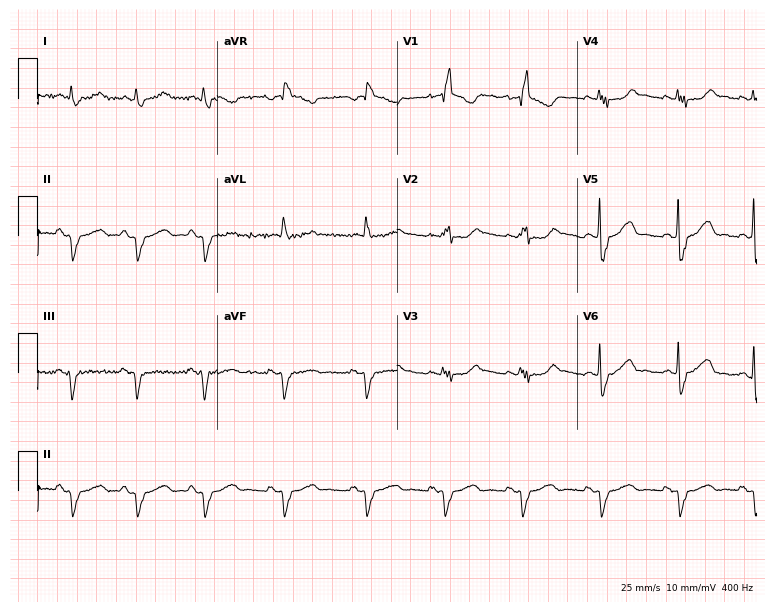
Standard 12-lead ECG recorded from an 81-year-old woman (7.3-second recording at 400 Hz). The tracing shows right bundle branch block.